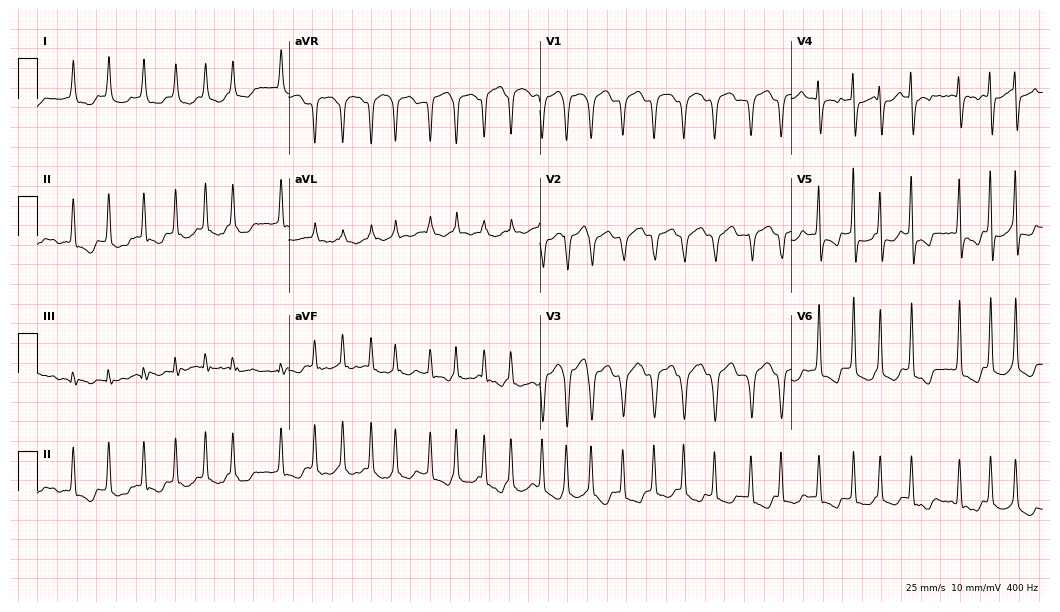
Electrocardiogram (10.2-second recording at 400 Hz), an 82-year-old female. Interpretation includes atrial fibrillation.